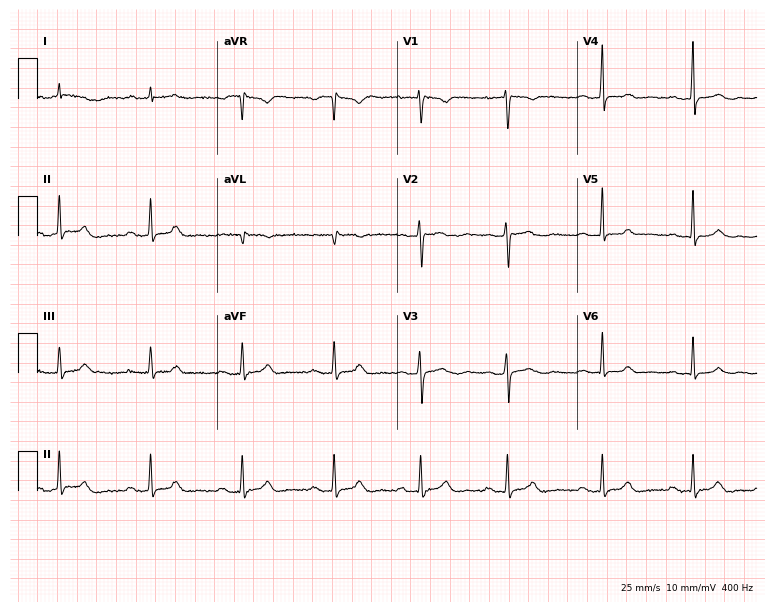
12-lead ECG from a 31-year-old female patient. Findings include first-degree AV block.